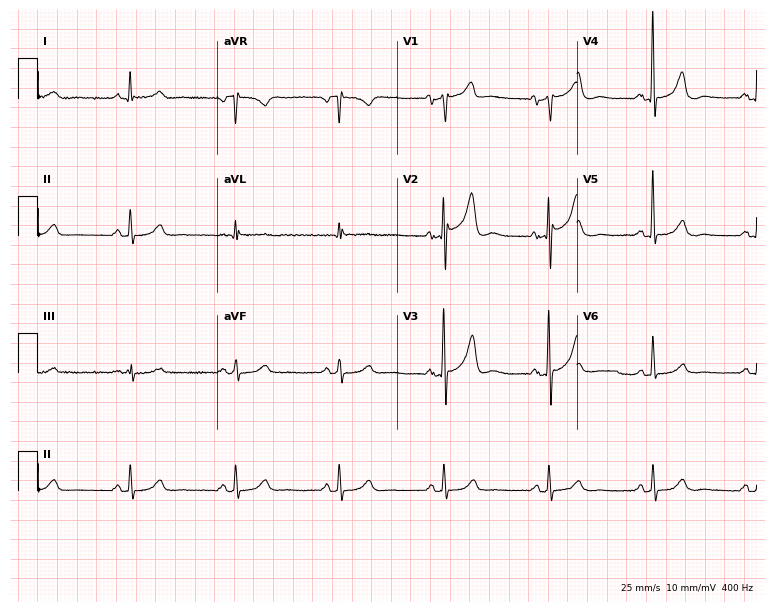
12-lead ECG from a man, 71 years old. Screened for six findings — first-degree AV block, right bundle branch block, left bundle branch block, sinus bradycardia, atrial fibrillation, sinus tachycardia — none is recorded.